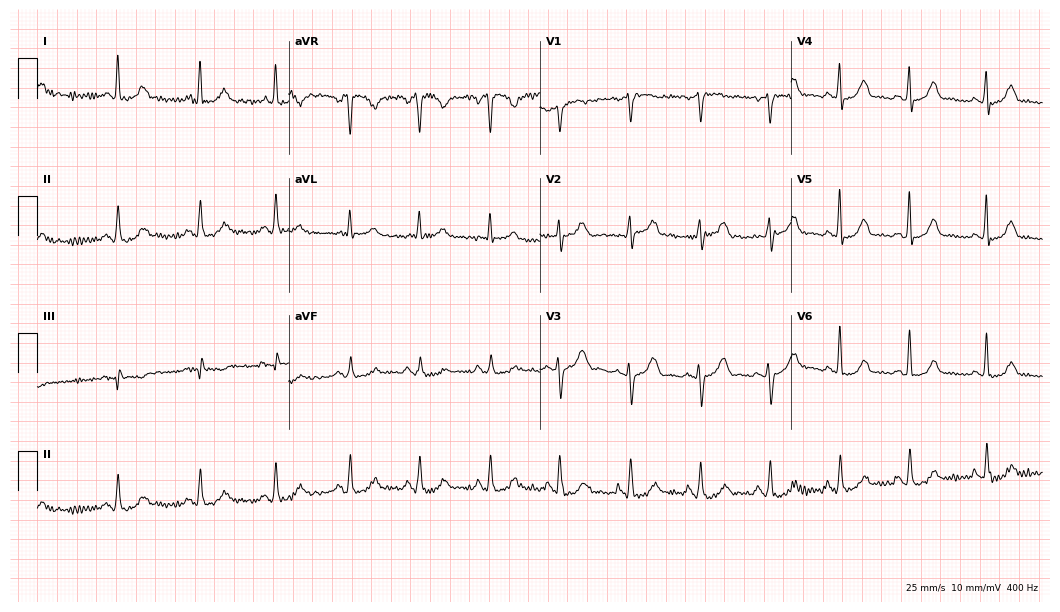
ECG (10.2-second recording at 400 Hz) — a woman, 56 years old. Labelled as a normal ECG.